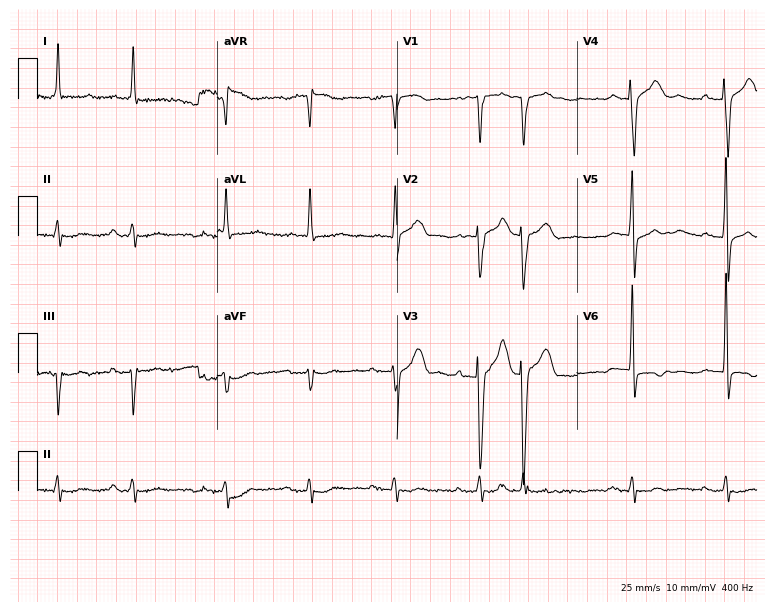
ECG (7.3-second recording at 400 Hz) — an 82-year-old man. Findings include first-degree AV block.